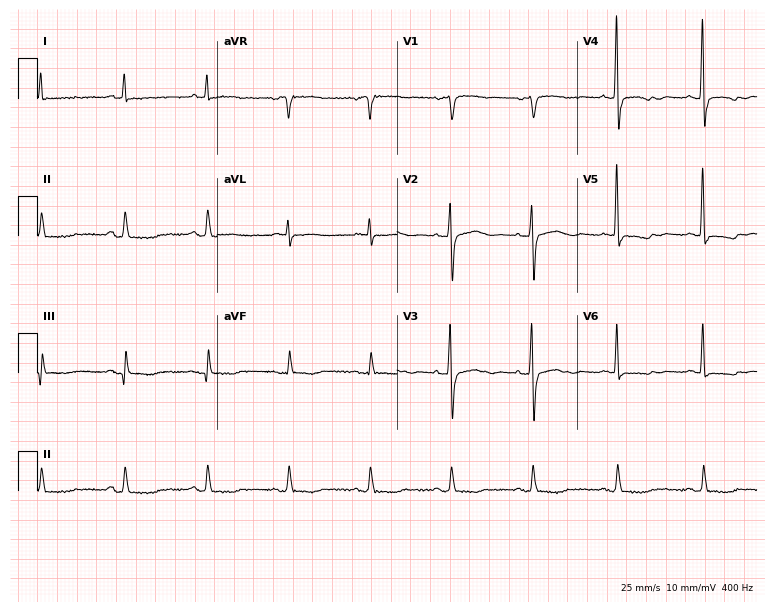
Electrocardiogram (7.3-second recording at 400 Hz), a 22-year-old woman. Of the six screened findings (first-degree AV block, right bundle branch block, left bundle branch block, sinus bradycardia, atrial fibrillation, sinus tachycardia), none is recorded. Only these six findings were labelled.